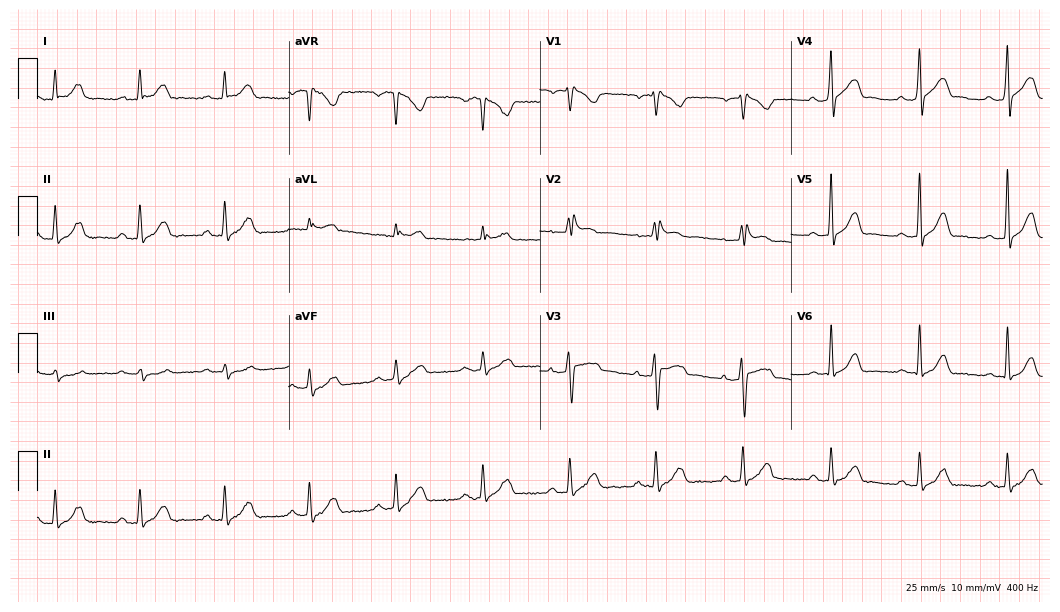
Electrocardiogram (10.2-second recording at 400 Hz), a 46-year-old male patient. Of the six screened findings (first-degree AV block, right bundle branch block (RBBB), left bundle branch block (LBBB), sinus bradycardia, atrial fibrillation (AF), sinus tachycardia), none is recorded. Other findings, if any, are not listed.